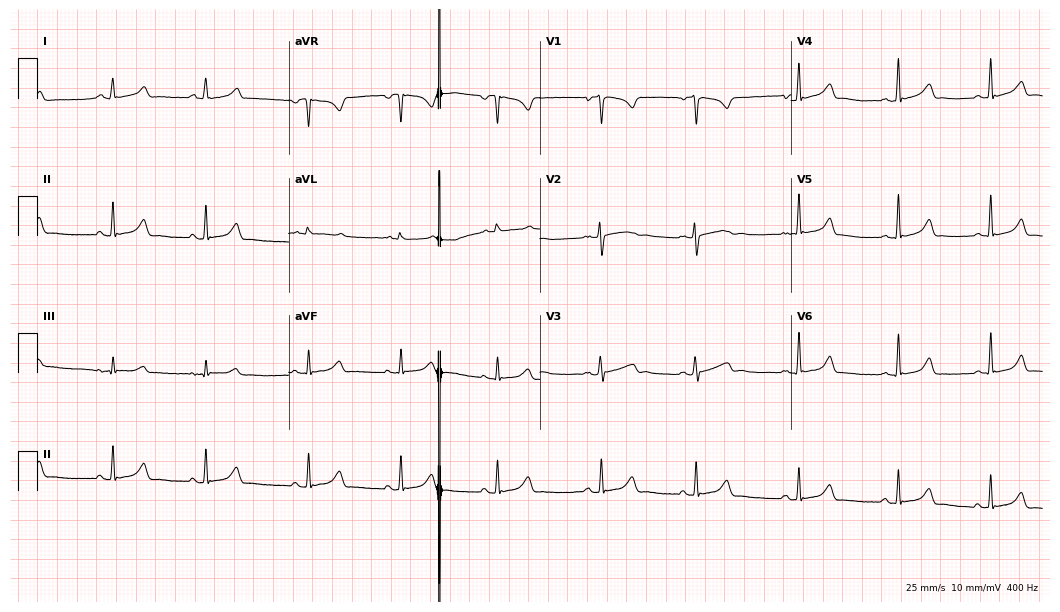
Resting 12-lead electrocardiogram (10.2-second recording at 400 Hz). Patient: a woman, 18 years old. Read as a normal ECG.